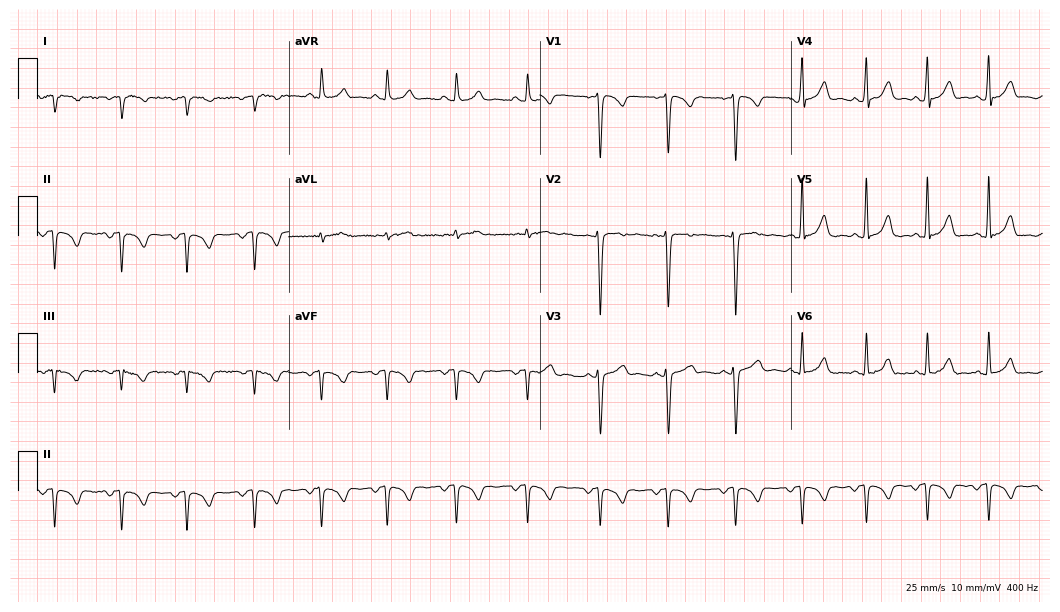
12-lead ECG from a female, 29 years old (10.2-second recording at 400 Hz). No first-degree AV block, right bundle branch block (RBBB), left bundle branch block (LBBB), sinus bradycardia, atrial fibrillation (AF) or sinus tachycardia recorded for this tracing.